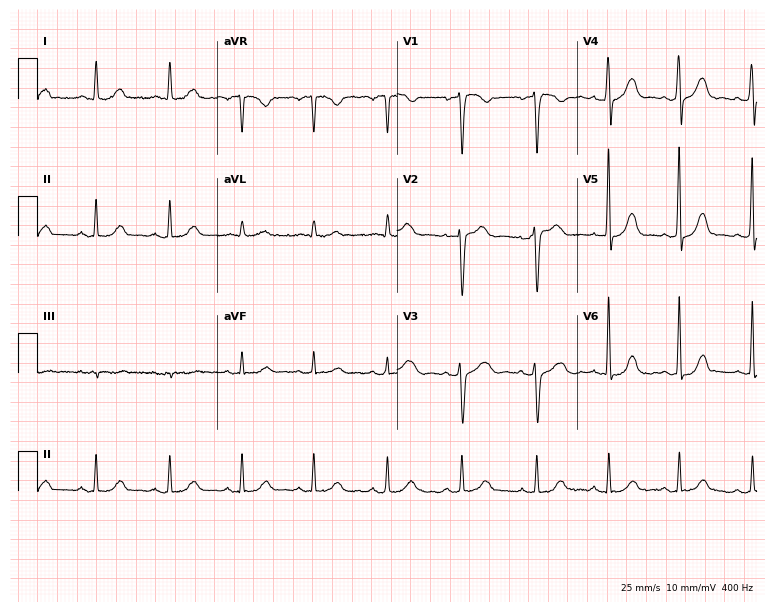
Resting 12-lead electrocardiogram (7.3-second recording at 400 Hz). Patient: a 48-year-old woman. Read as a normal ECG.